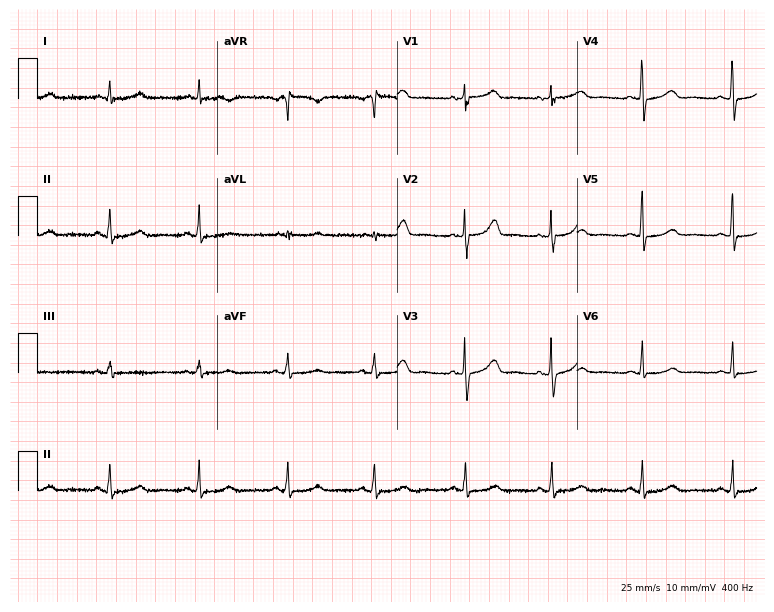
Resting 12-lead electrocardiogram (7.3-second recording at 400 Hz). Patient: a 69-year-old woman. None of these six findings is recorded: first-degree AV block, right bundle branch block (RBBB), left bundle branch block (LBBB), sinus bradycardia, atrial fibrillation (AF), sinus tachycardia.